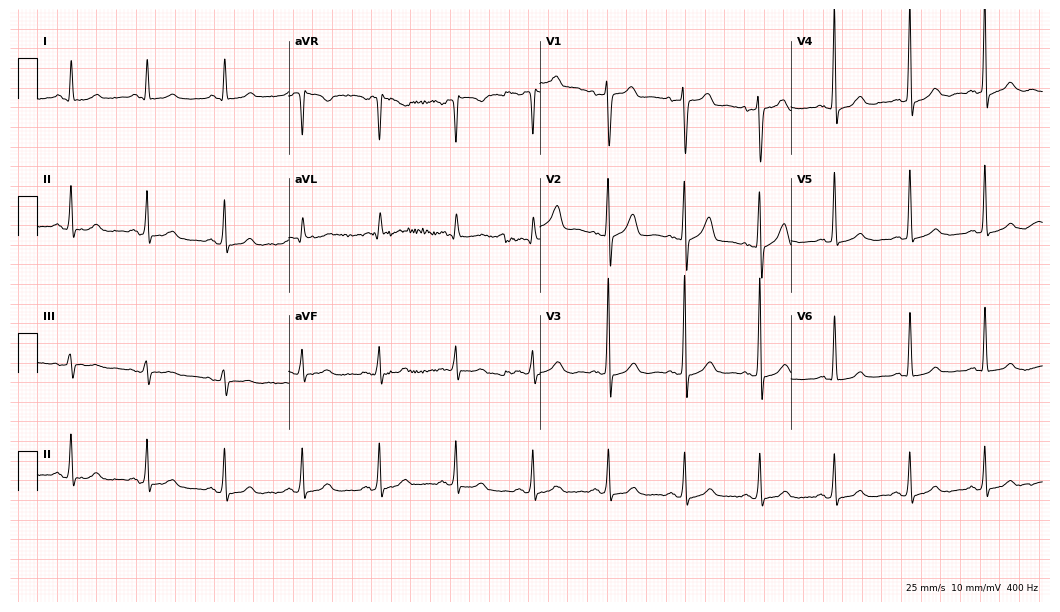
12-lead ECG (10.2-second recording at 400 Hz) from an 85-year-old woman. Labelled as a normal ECG.